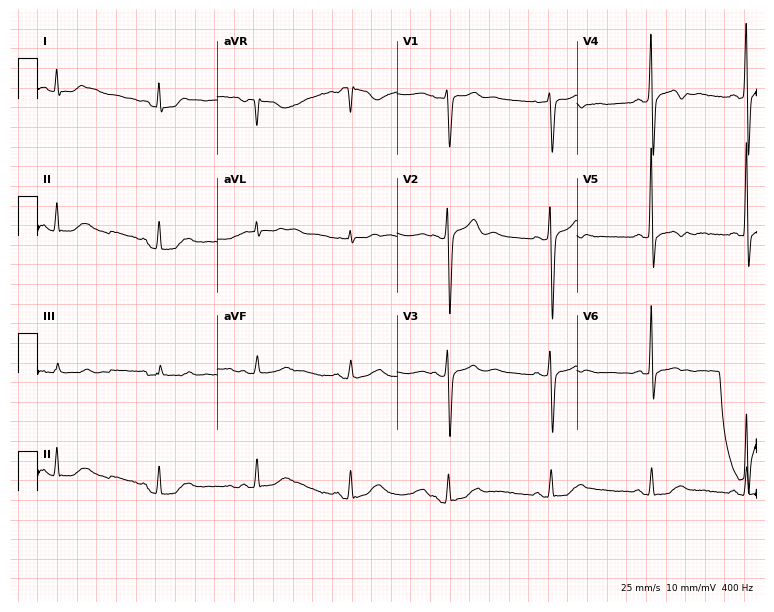
ECG (7.3-second recording at 400 Hz) — a 46-year-old male. Screened for six findings — first-degree AV block, right bundle branch block, left bundle branch block, sinus bradycardia, atrial fibrillation, sinus tachycardia — none is recorded. Other findings, if any, are not listed.